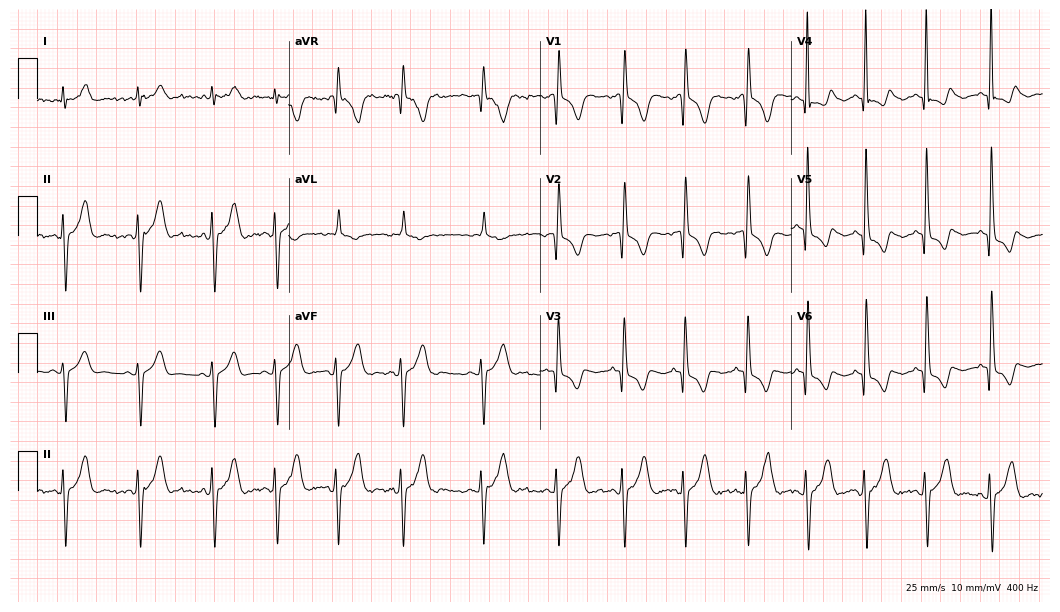
Resting 12-lead electrocardiogram. Patient: a 26-year-old man. None of these six findings is recorded: first-degree AV block, right bundle branch block, left bundle branch block, sinus bradycardia, atrial fibrillation, sinus tachycardia. Other findings, if any, are not listed.